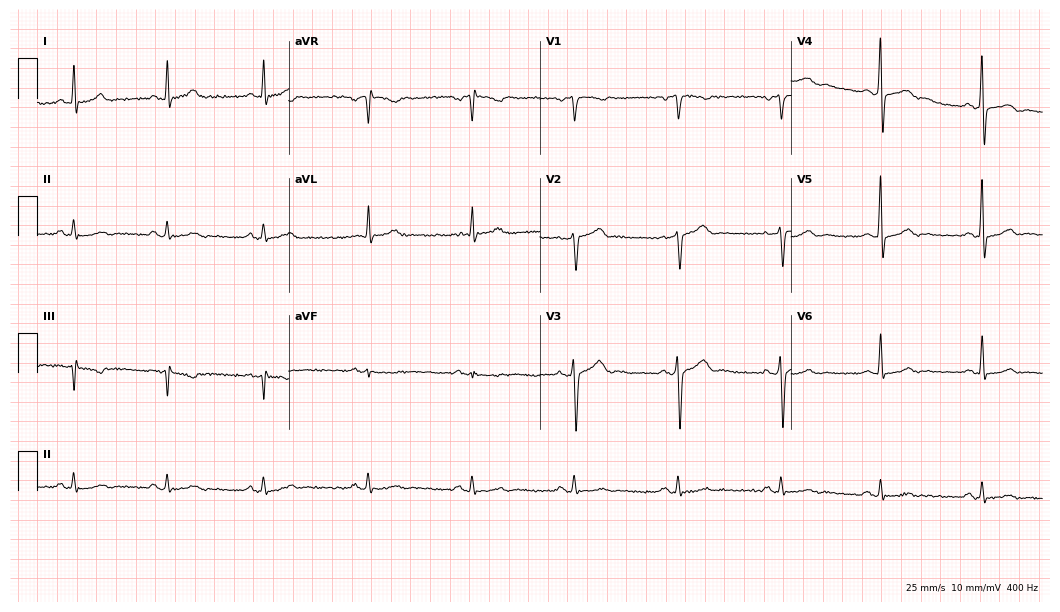
ECG (10.2-second recording at 400 Hz) — a 37-year-old male patient. Screened for six findings — first-degree AV block, right bundle branch block, left bundle branch block, sinus bradycardia, atrial fibrillation, sinus tachycardia — none is recorded. Other findings, if any, are not listed.